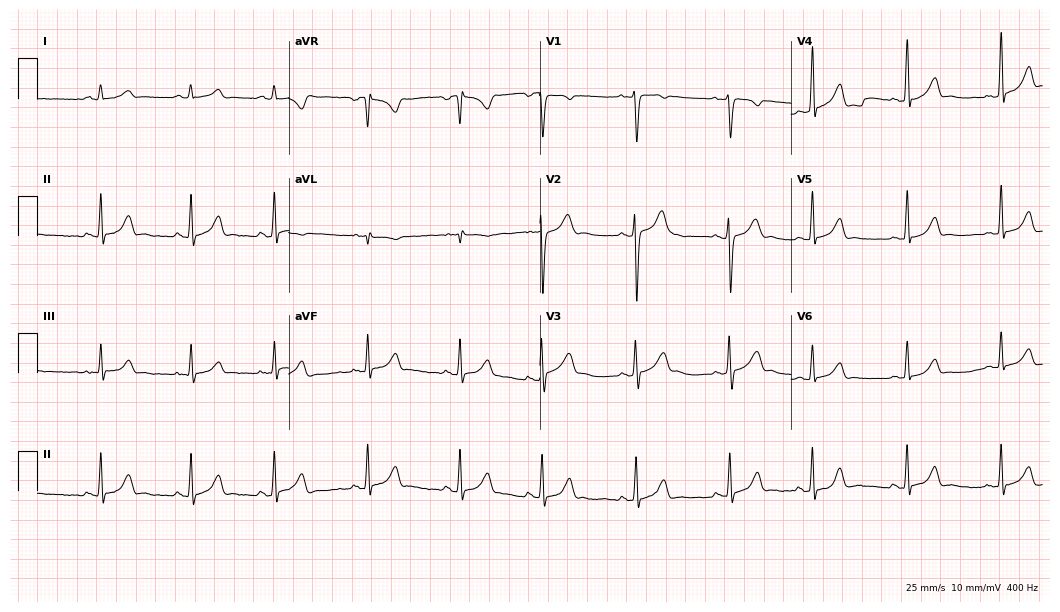
Electrocardiogram, a 20-year-old female patient. Overall reading on record: normal ECG.